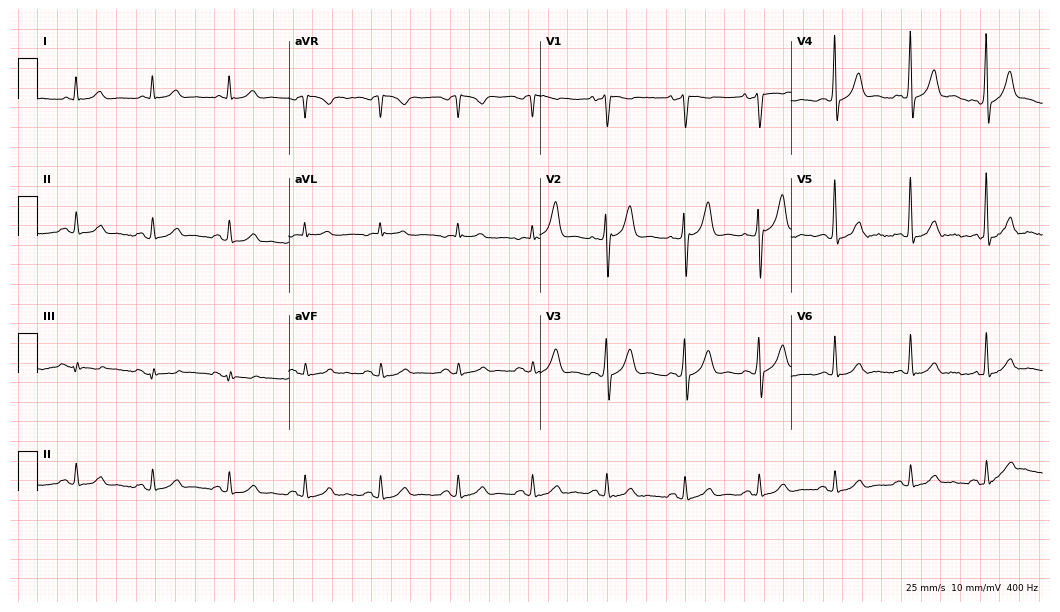
Electrocardiogram, a 74-year-old man. Overall reading on record: normal ECG.